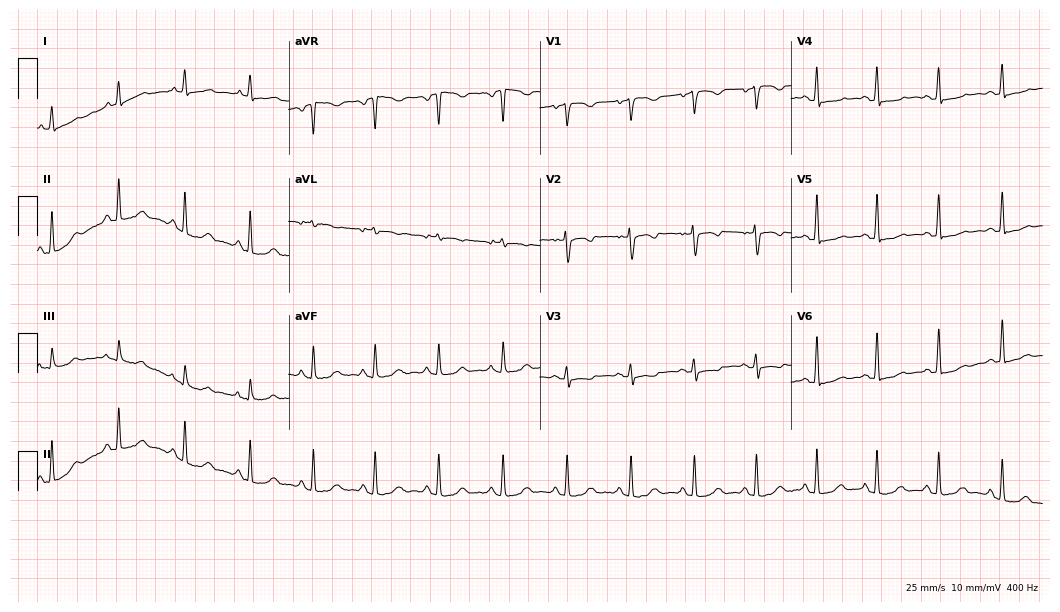
Electrocardiogram (10.2-second recording at 400 Hz), a 34-year-old female patient. Of the six screened findings (first-degree AV block, right bundle branch block, left bundle branch block, sinus bradycardia, atrial fibrillation, sinus tachycardia), none is recorded.